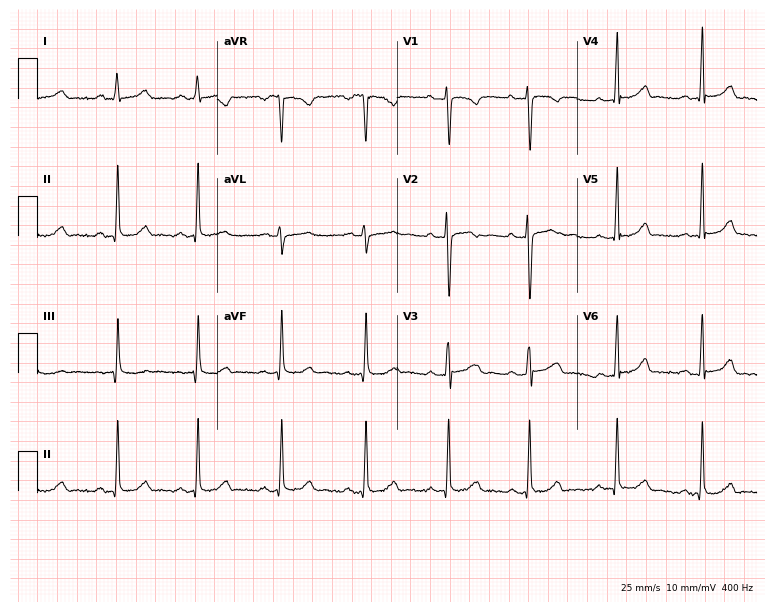
Resting 12-lead electrocardiogram. Patient: a female, 32 years old. Read as a normal ECG.